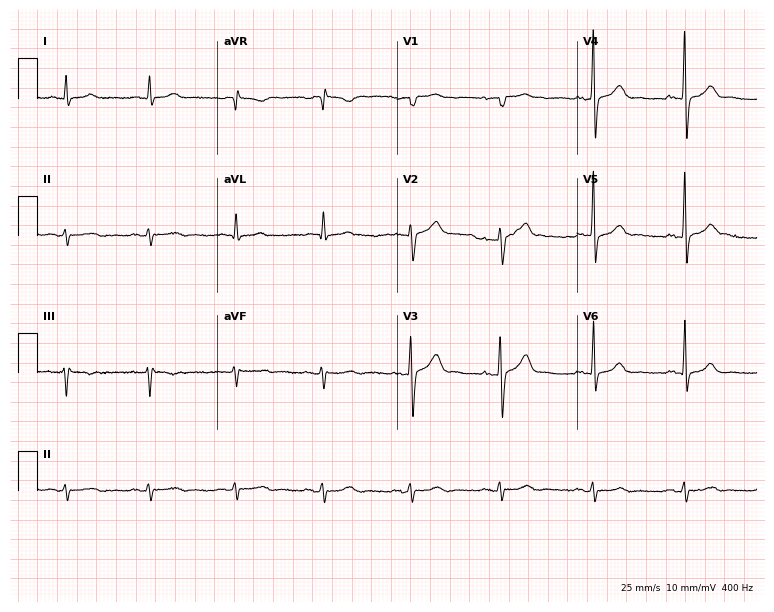
Resting 12-lead electrocardiogram (7.3-second recording at 400 Hz). Patient: a 59-year-old male. None of these six findings is recorded: first-degree AV block, right bundle branch block, left bundle branch block, sinus bradycardia, atrial fibrillation, sinus tachycardia. Findings outside these six are not listed.